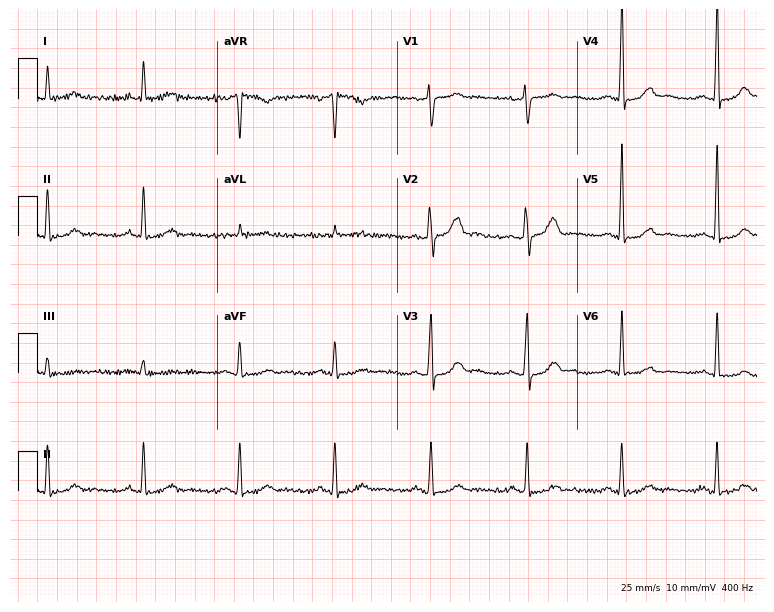
12-lead ECG from a male, 58 years old (7.3-second recording at 400 Hz). Recorded interpretation: within normal limits.